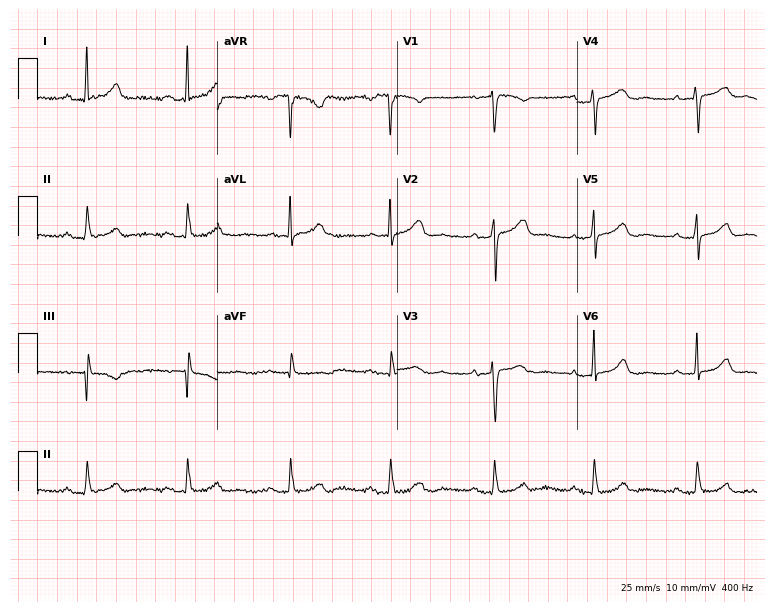
Electrocardiogram, a 62-year-old female patient. Overall reading on record: normal ECG.